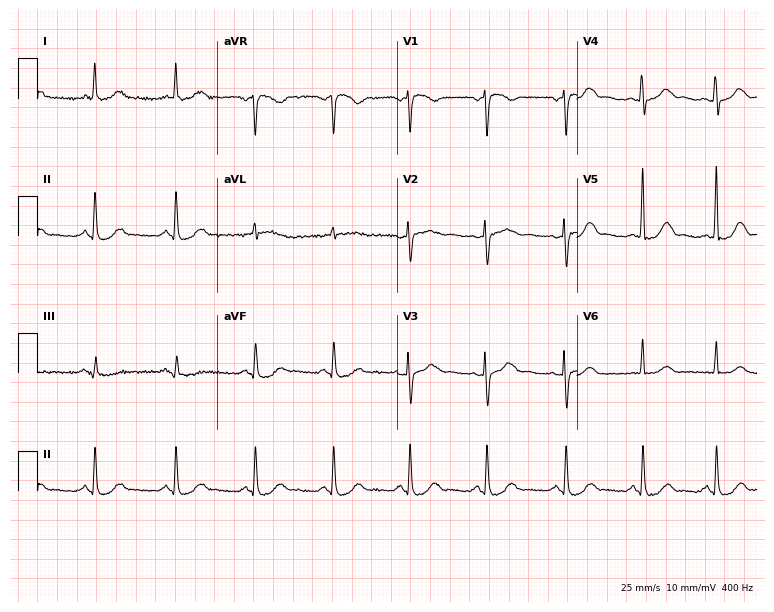
Standard 12-lead ECG recorded from a 59-year-old woman. Read as a normal ECG.